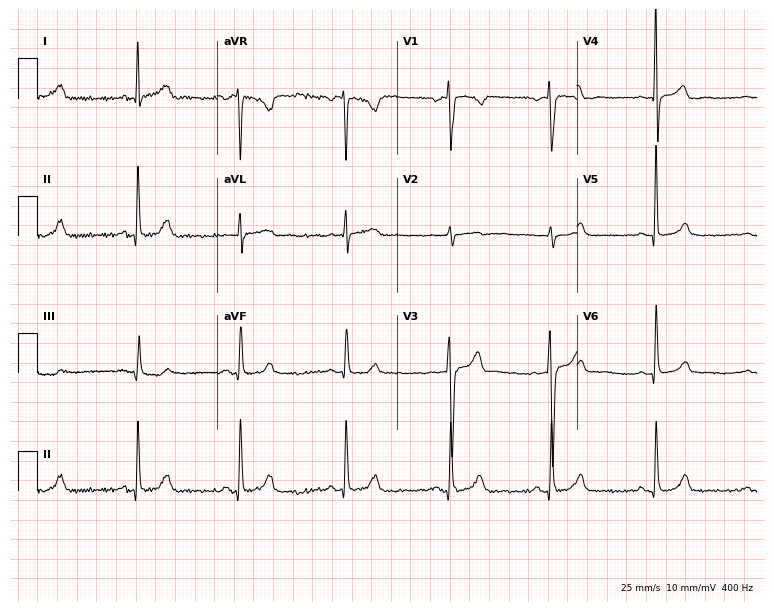
12-lead ECG from a female patient, 52 years old. Labelled as a normal ECG.